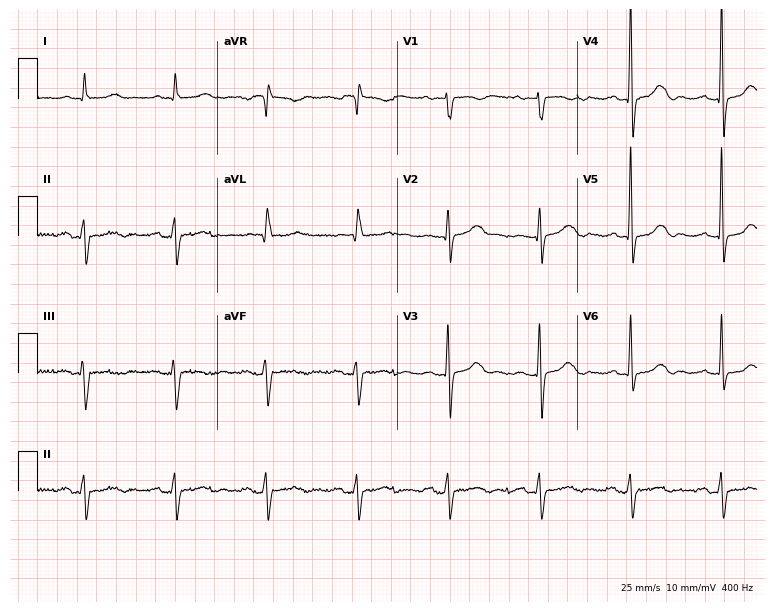
ECG — a male patient, 81 years old. Screened for six findings — first-degree AV block, right bundle branch block (RBBB), left bundle branch block (LBBB), sinus bradycardia, atrial fibrillation (AF), sinus tachycardia — none is recorded. Findings outside these six are not listed.